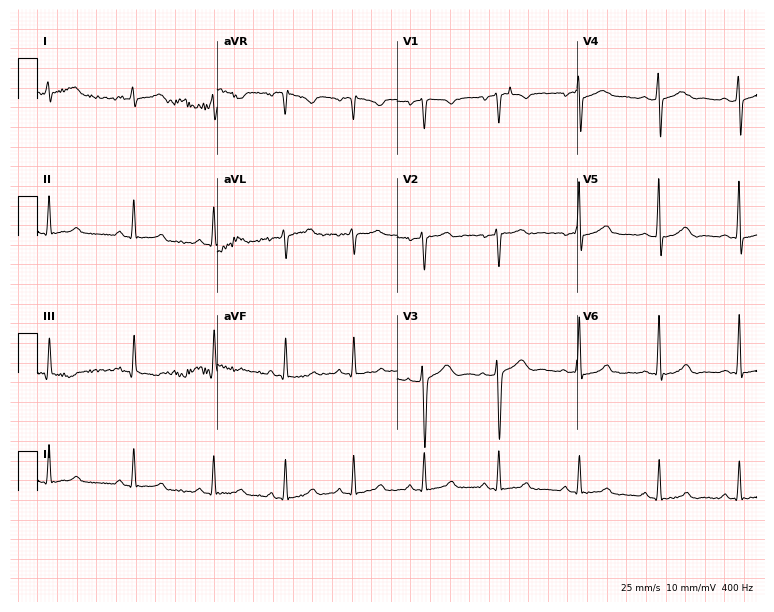
Resting 12-lead electrocardiogram (7.3-second recording at 400 Hz). Patient: a female, 23 years old. None of these six findings is recorded: first-degree AV block, right bundle branch block, left bundle branch block, sinus bradycardia, atrial fibrillation, sinus tachycardia. Other findings, if any, are not listed.